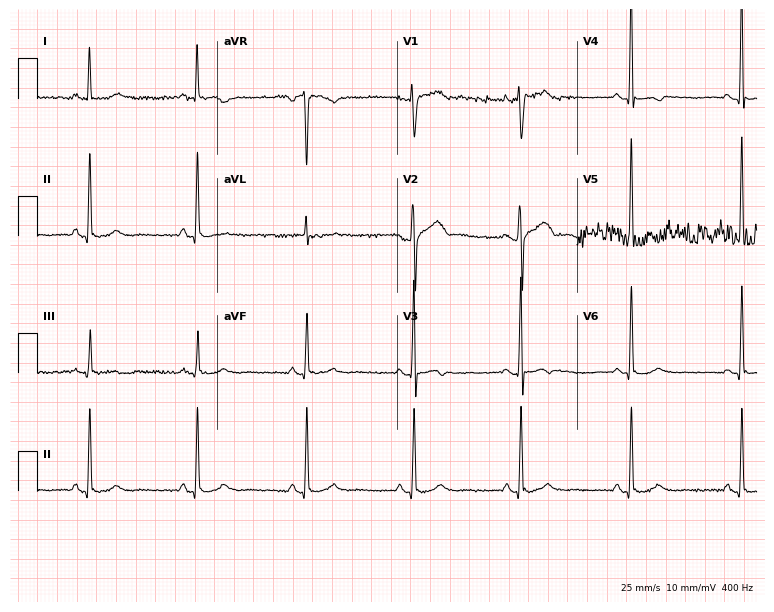
12-lead ECG from a 49-year-old male. Labelled as a normal ECG.